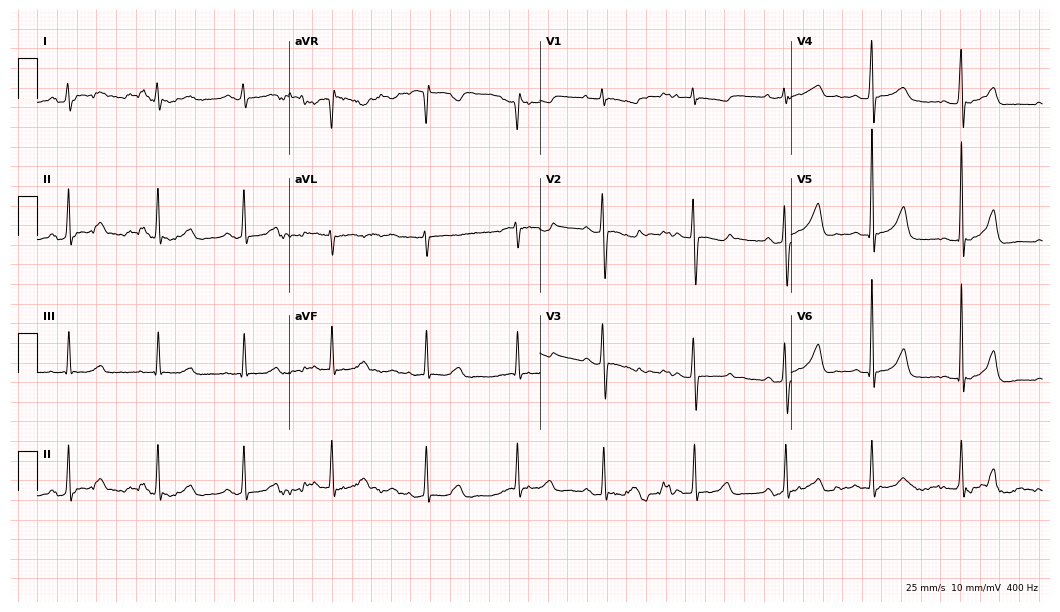
Standard 12-lead ECG recorded from a female patient, 21 years old (10.2-second recording at 400 Hz). None of these six findings is recorded: first-degree AV block, right bundle branch block (RBBB), left bundle branch block (LBBB), sinus bradycardia, atrial fibrillation (AF), sinus tachycardia. Other findings, if any, are not listed.